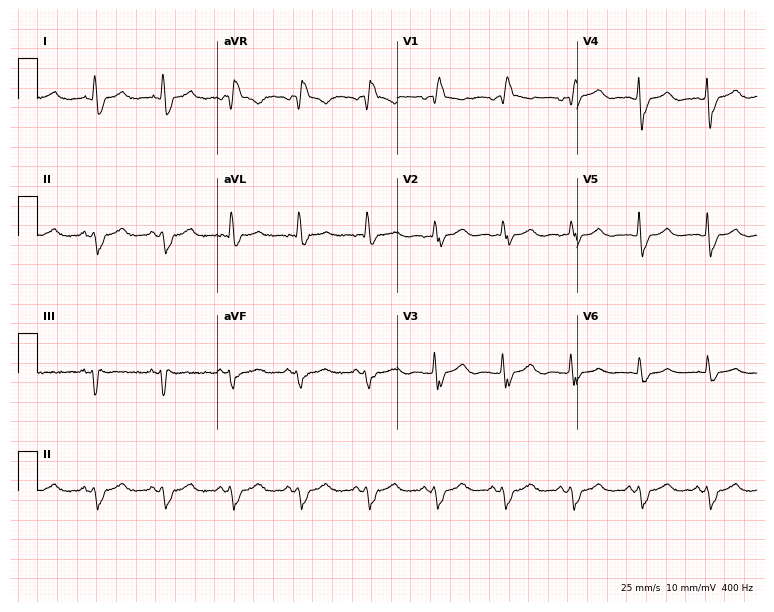
ECG (7.3-second recording at 400 Hz) — a female, 79 years old. Findings include right bundle branch block (RBBB).